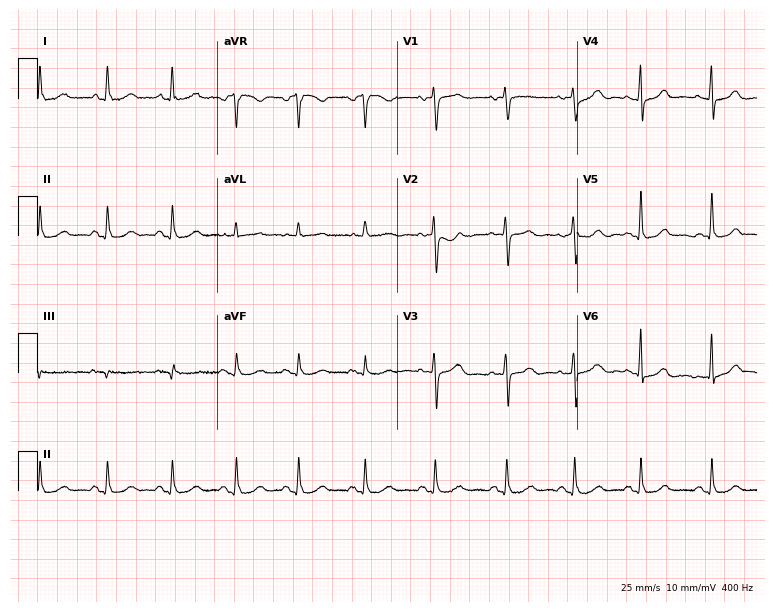
ECG (7.3-second recording at 400 Hz) — a 67-year-old female patient. Screened for six findings — first-degree AV block, right bundle branch block, left bundle branch block, sinus bradycardia, atrial fibrillation, sinus tachycardia — none is recorded.